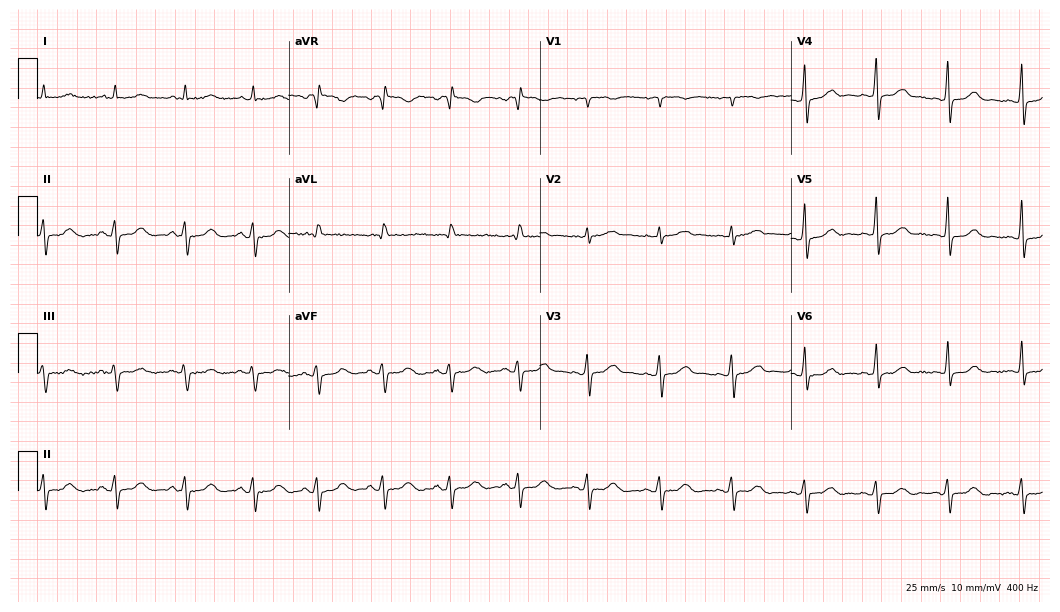
ECG — a female, 57 years old. Screened for six findings — first-degree AV block, right bundle branch block, left bundle branch block, sinus bradycardia, atrial fibrillation, sinus tachycardia — none is recorded.